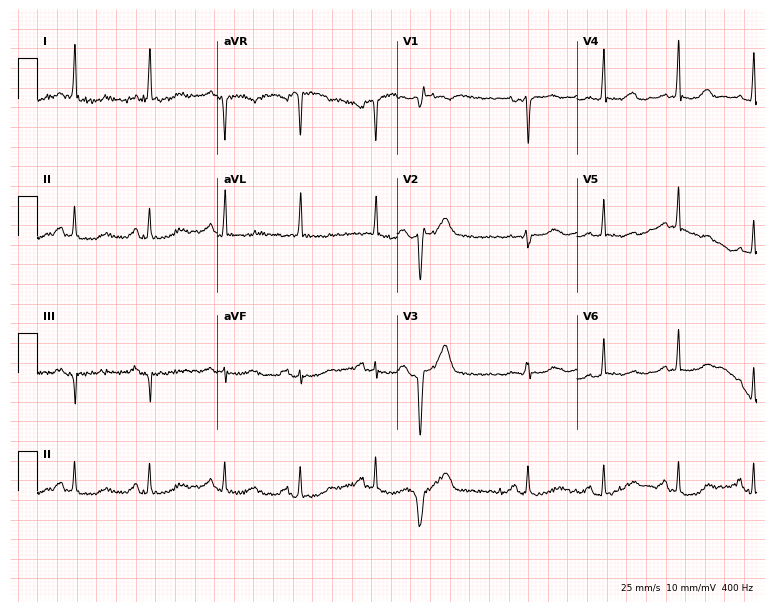
ECG (7.3-second recording at 400 Hz) — a female, 82 years old. Screened for six findings — first-degree AV block, right bundle branch block, left bundle branch block, sinus bradycardia, atrial fibrillation, sinus tachycardia — none is recorded.